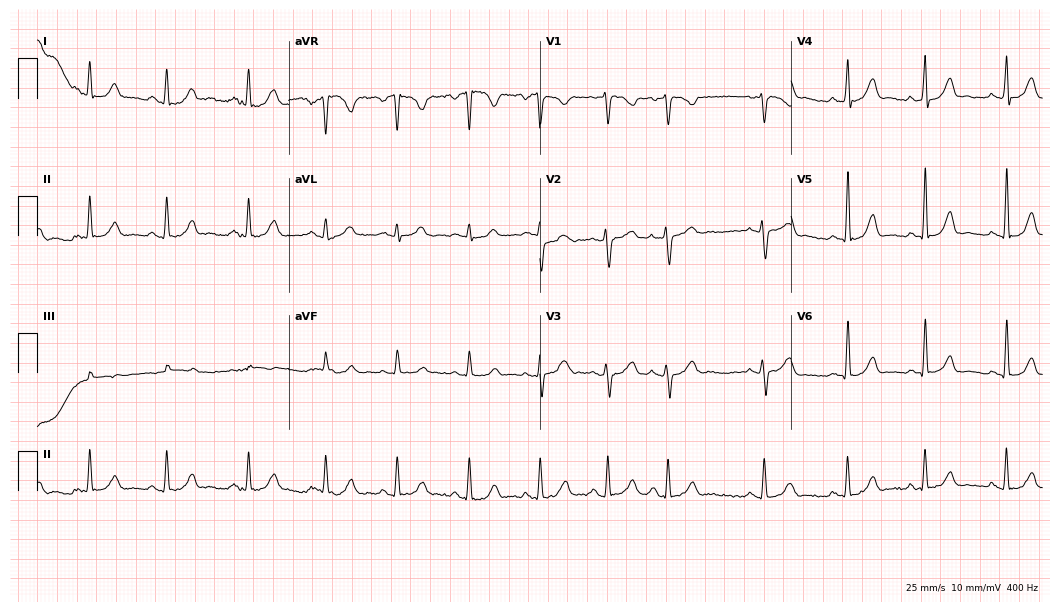
12-lead ECG from a 26-year-old female. Labelled as a normal ECG.